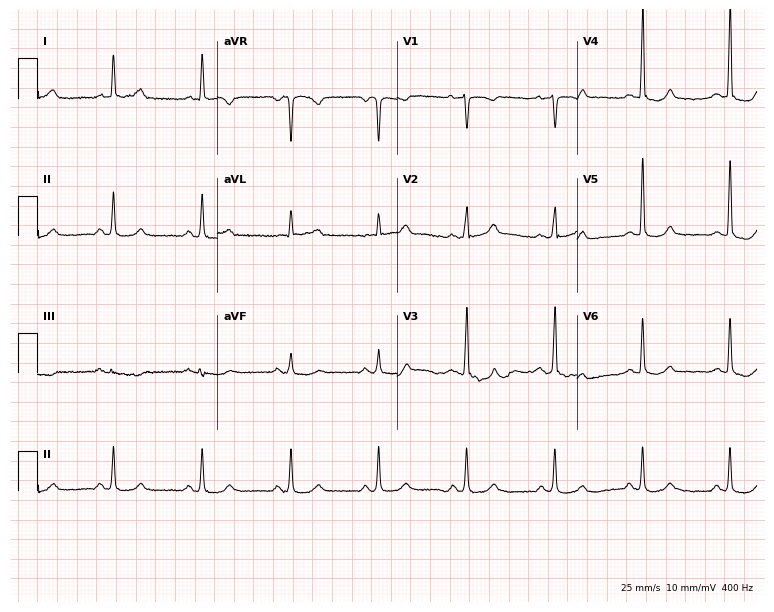
12-lead ECG from a 66-year-old female (7.3-second recording at 400 Hz). No first-degree AV block, right bundle branch block (RBBB), left bundle branch block (LBBB), sinus bradycardia, atrial fibrillation (AF) or sinus tachycardia recorded for this tracing. Other findings, if any, are not listed.